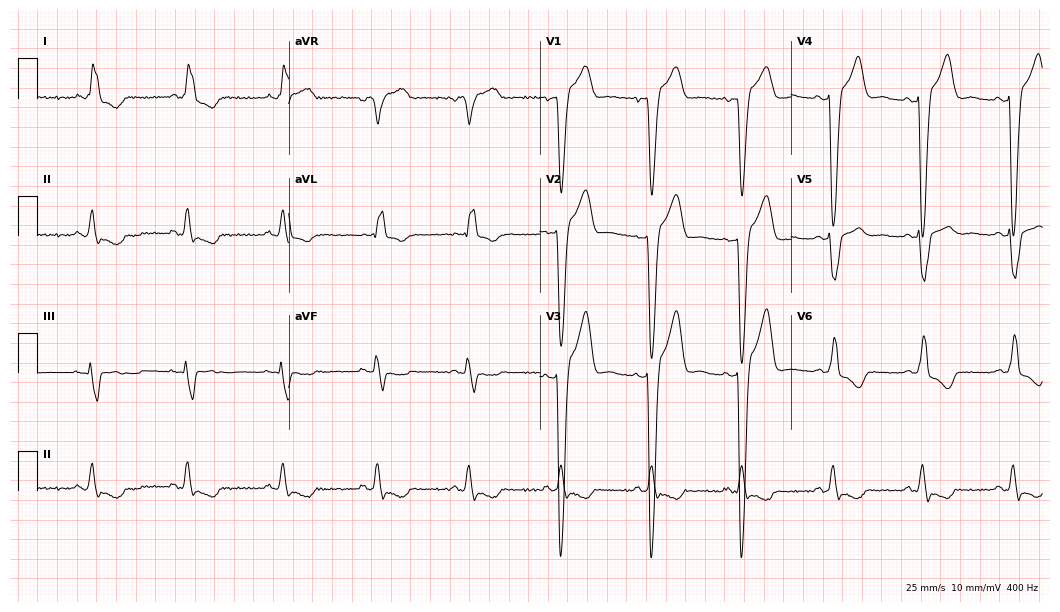
ECG (10.2-second recording at 400 Hz) — a man, 49 years old. Findings include left bundle branch block (LBBB).